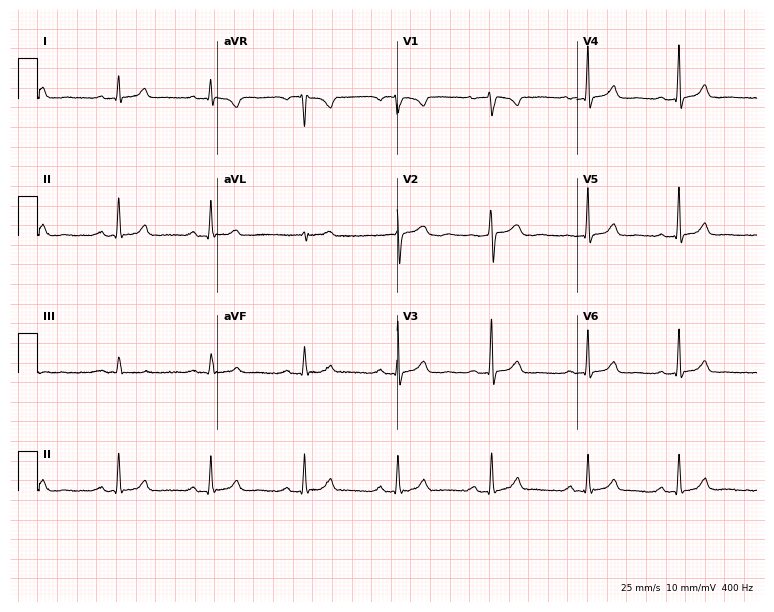
ECG (7.3-second recording at 400 Hz) — a female patient, 40 years old. Labelled as a normal ECG.